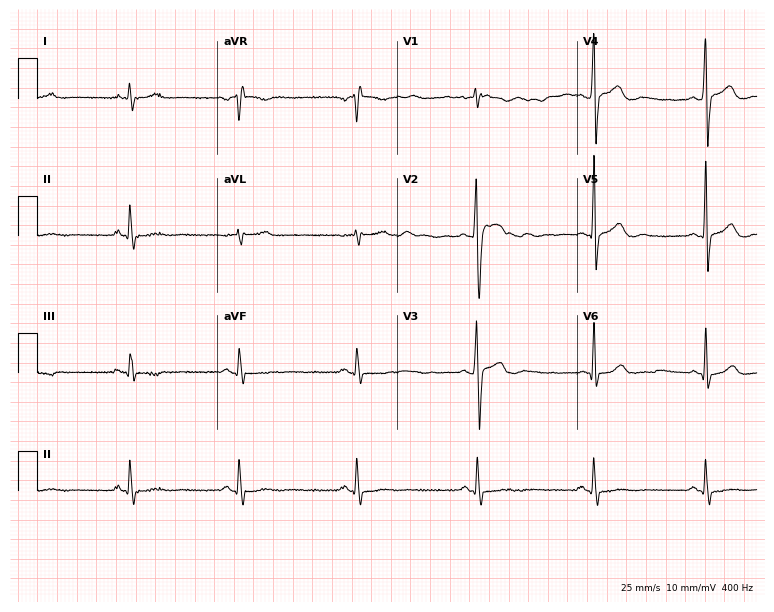
Standard 12-lead ECG recorded from a 35-year-old male patient (7.3-second recording at 400 Hz). None of these six findings is recorded: first-degree AV block, right bundle branch block (RBBB), left bundle branch block (LBBB), sinus bradycardia, atrial fibrillation (AF), sinus tachycardia.